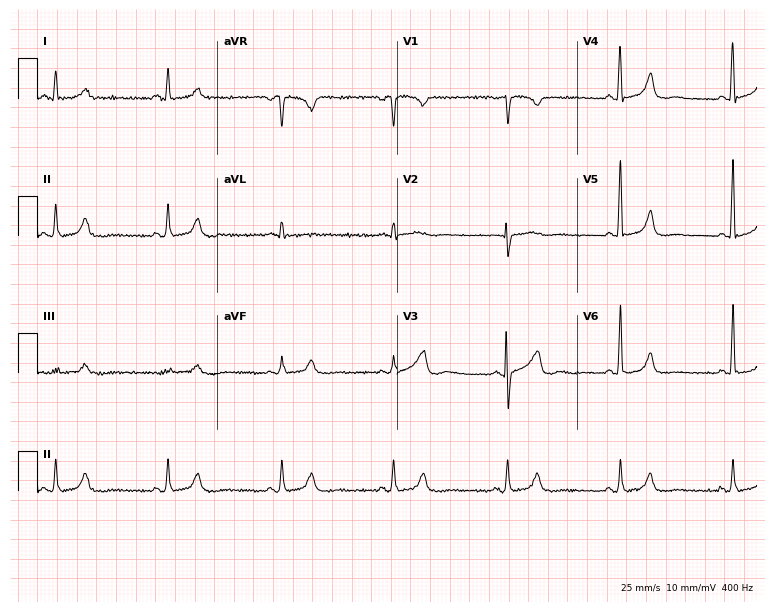
Resting 12-lead electrocardiogram (7.3-second recording at 400 Hz). Patient: a 63-year-old female. Read as a normal ECG.